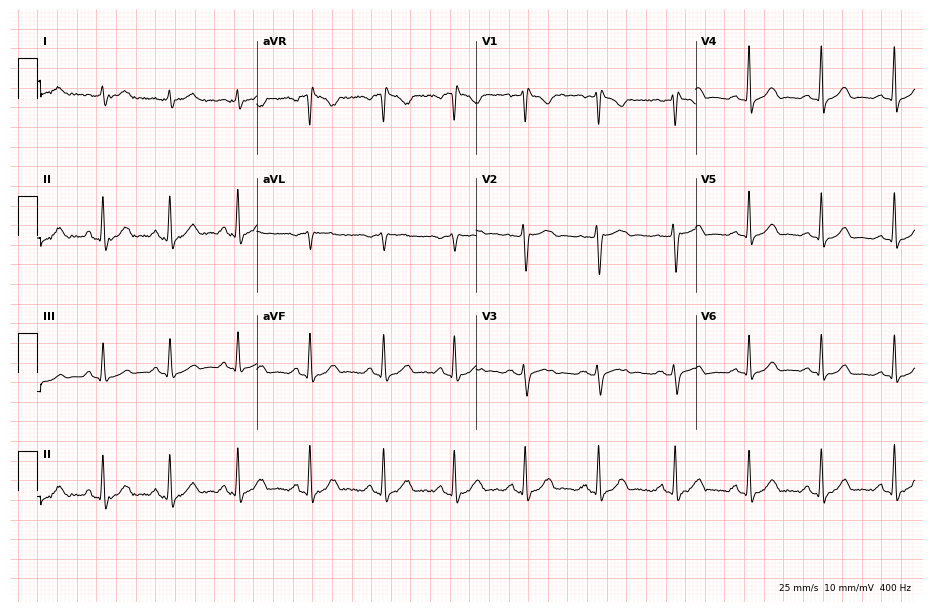
Standard 12-lead ECG recorded from a female, 30 years old (8.9-second recording at 400 Hz). None of these six findings is recorded: first-degree AV block, right bundle branch block (RBBB), left bundle branch block (LBBB), sinus bradycardia, atrial fibrillation (AF), sinus tachycardia.